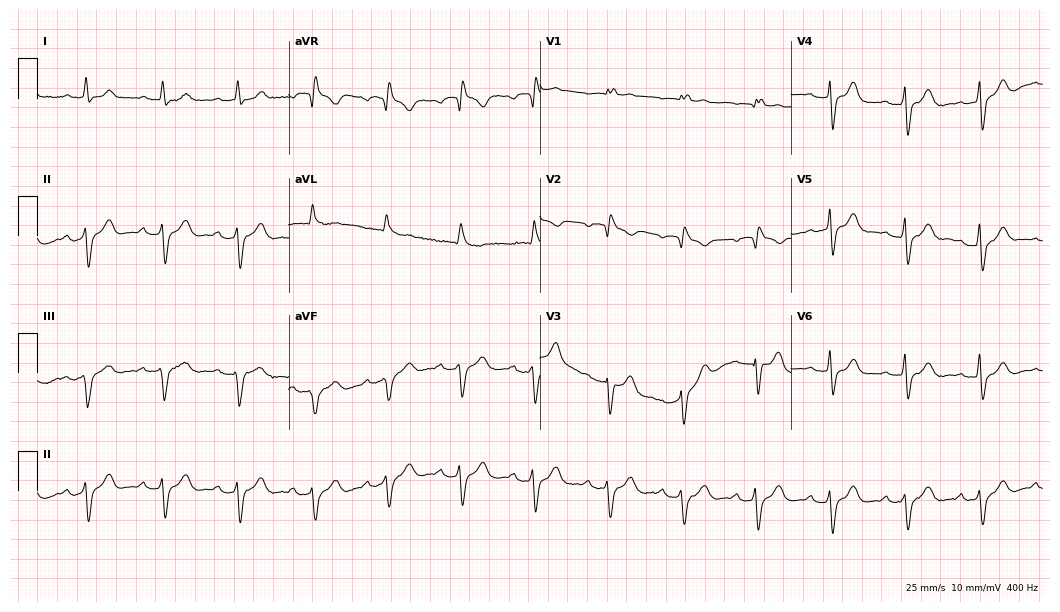
ECG (10.2-second recording at 400 Hz) — a 74-year-old woman. Findings include right bundle branch block (RBBB).